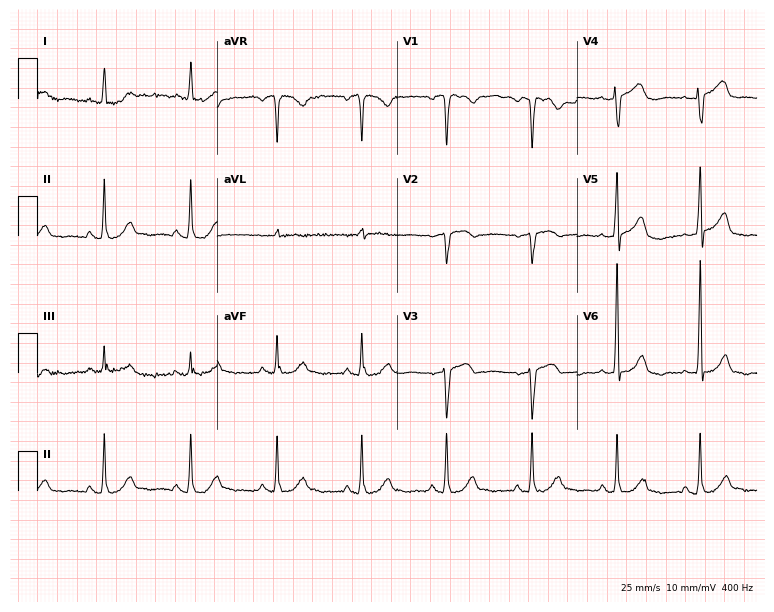
ECG (7.3-second recording at 400 Hz) — a male patient, 81 years old. Screened for six findings — first-degree AV block, right bundle branch block, left bundle branch block, sinus bradycardia, atrial fibrillation, sinus tachycardia — none is recorded. Findings outside these six are not listed.